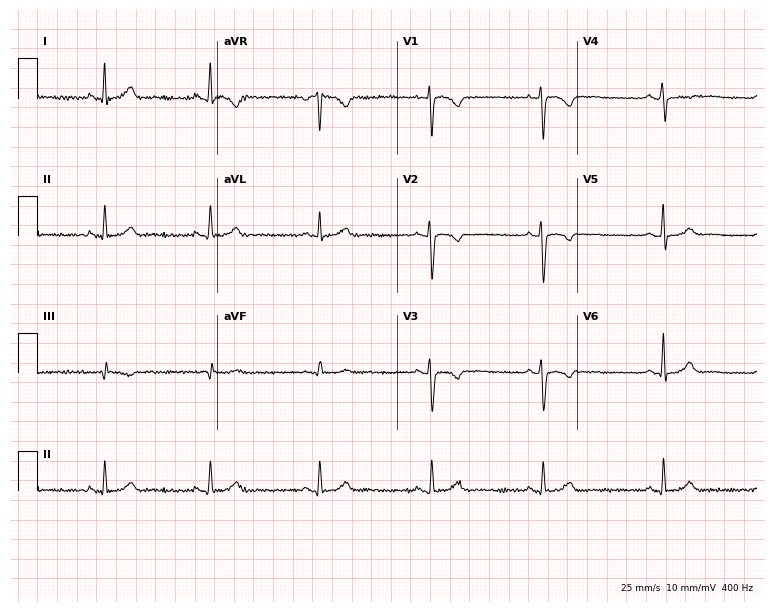
Standard 12-lead ECG recorded from a woman, 38 years old. None of these six findings is recorded: first-degree AV block, right bundle branch block, left bundle branch block, sinus bradycardia, atrial fibrillation, sinus tachycardia.